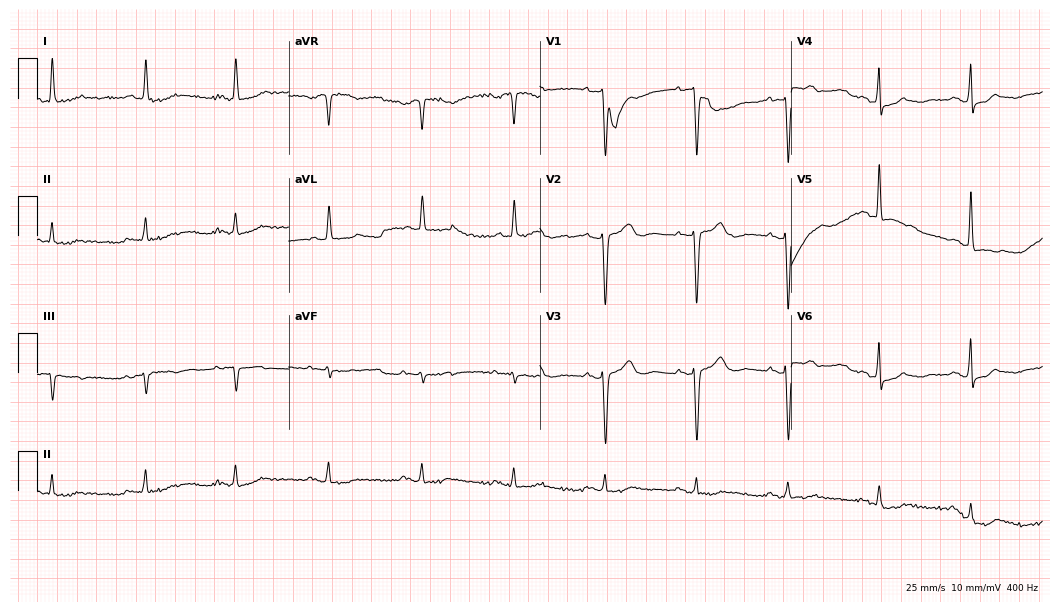
Electrocardiogram (10.2-second recording at 400 Hz), a woman, 76 years old. Overall reading on record: normal ECG.